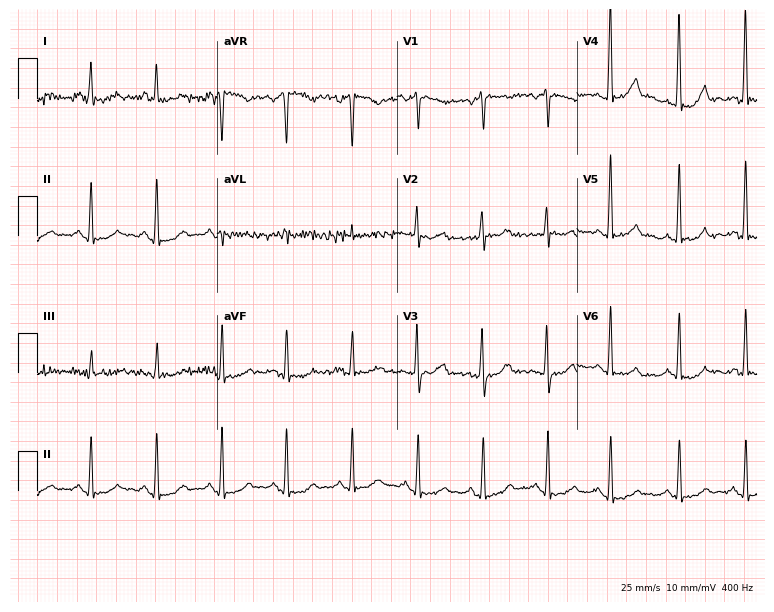
12-lead ECG from a female patient, 48 years old. Recorded interpretation: within normal limits.